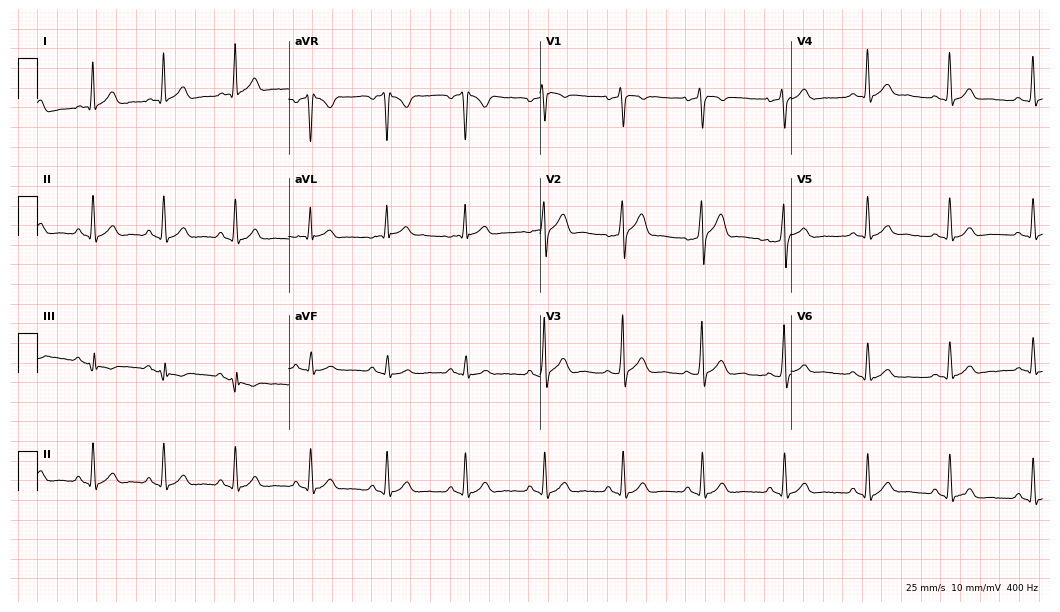
Electrocardiogram, a male patient, 41 years old. Overall reading on record: normal ECG.